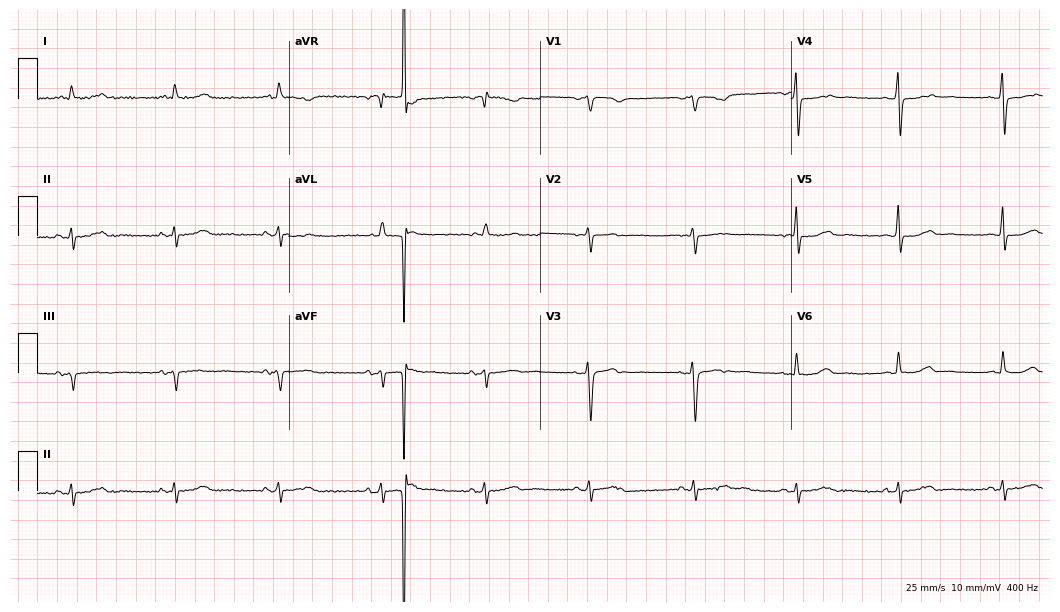
12-lead ECG from a 40-year-old woman (10.2-second recording at 400 Hz). No first-degree AV block, right bundle branch block (RBBB), left bundle branch block (LBBB), sinus bradycardia, atrial fibrillation (AF) or sinus tachycardia recorded for this tracing.